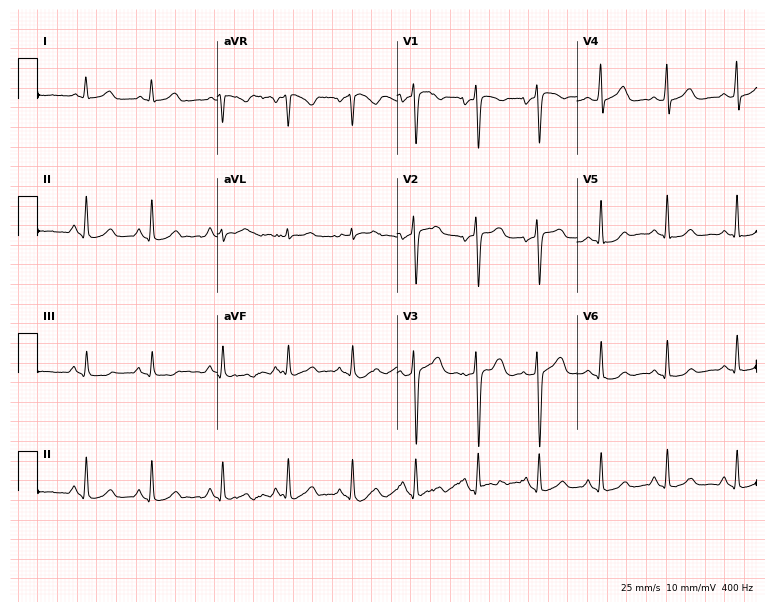
Resting 12-lead electrocardiogram (7.3-second recording at 400 Hz). Patient: a woman, 35 years old. None of these six findings is recorded: first-degree AV block, right bundle branch block, left bundle branch block, sinus bradycardia, atrial fibrillation, sinus tachycardia.